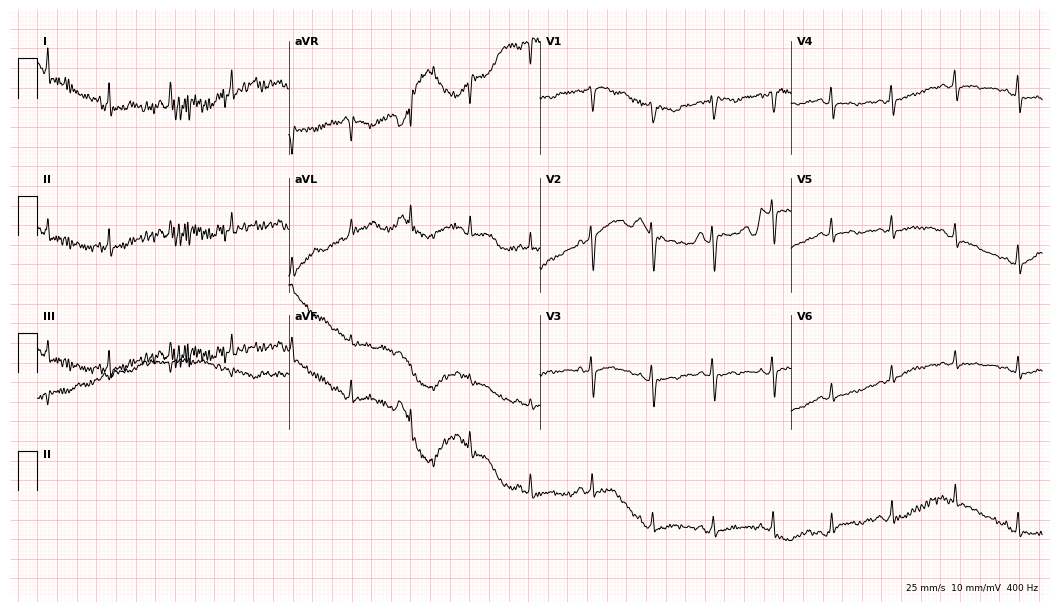
Resting 12-lead electrocardiogram (10.2-second recording at 400 Hz). Patient: a woman, 25 years old. None of these six findings is recorded: first-degree AV block, right bundle branch block, left bundle branch block, sinus bradycardia, atrial fibrillation, sinus tachycardia.